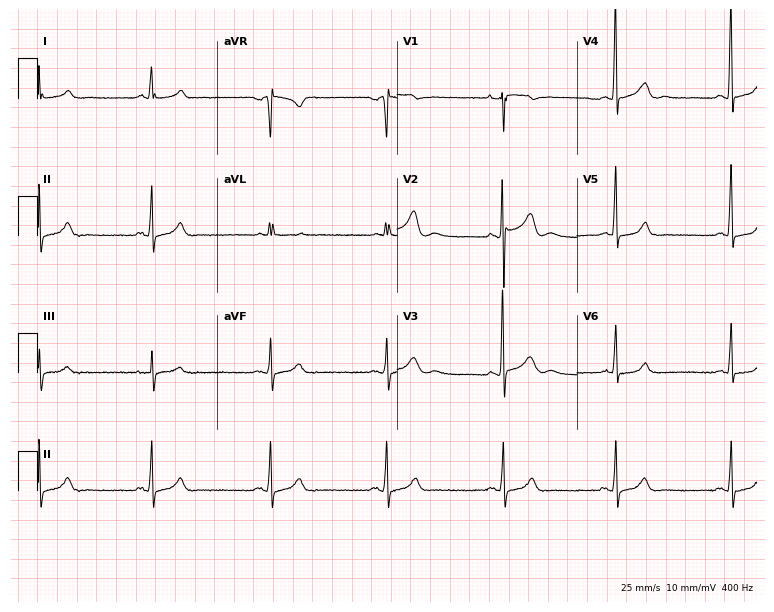
12-lead ECG from a man, 29 years old. No first-degree AV block, right bundle branch block, left bundle branch block, sinus bradycardia, atrial fibrillation or sinus tachycardia recorded for this tracing.